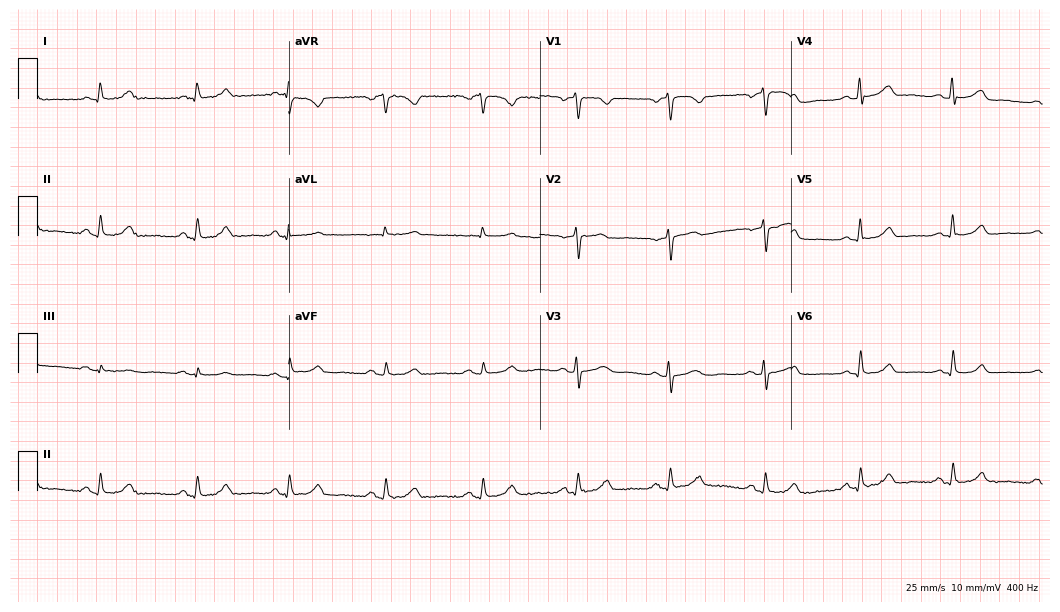
Resting 12-lead electrocardiogram. Patient: a female, 50 years old. Read as a normal ECG.